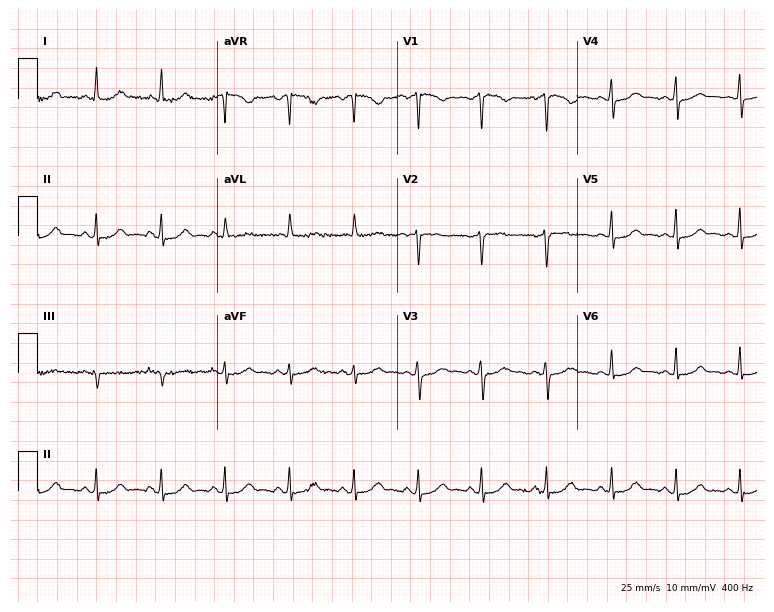
Resting 12-lead electrocardiogram (7.3-second recording at 400 Hz). Patient: a female, 42 years old. Read as a normal ECG.